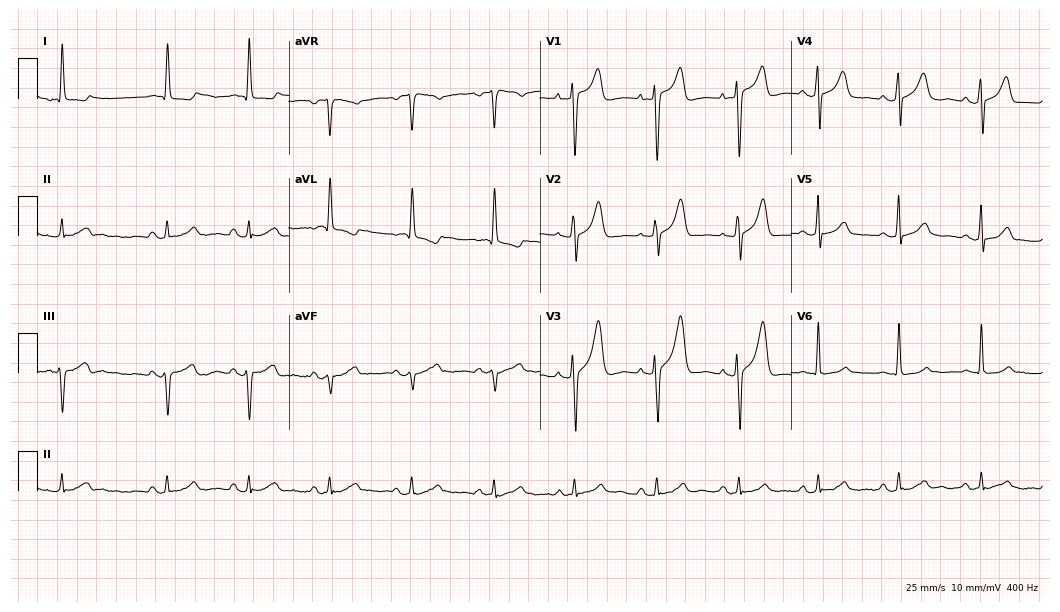
12-lead ECG from a female, 64 years old (10.2-second recording at 400 Hz). No first-degree AV block, right bundle branch block (RBBB), left bundle branch block (LBBB), sinus bradycardia, atrial fibrillation (AF) or sinus tachycardia recorded for this tracing. Only these six findings were labelled.